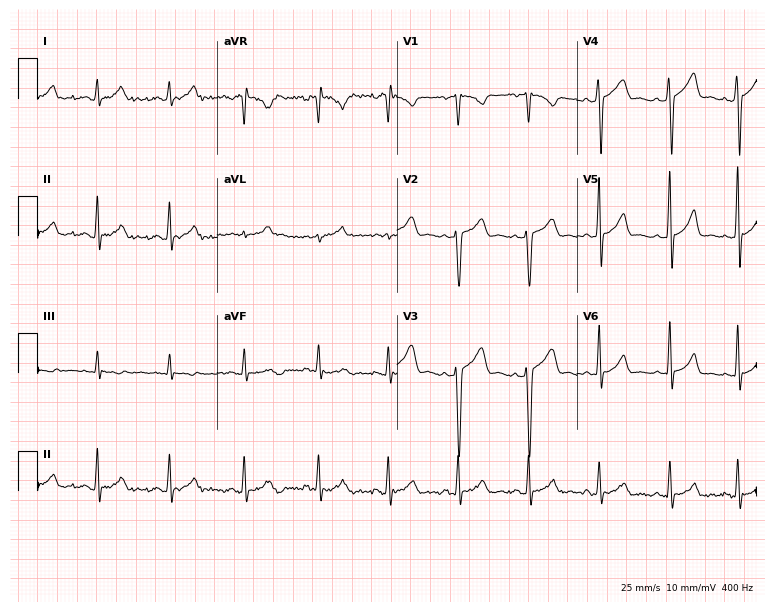
Standard 12-lead ECG recorded from a 21-year-old female (7.3-second recording at 400 Hz). None of these six findings is recorded: first-degree AV block, right bundle branch block (RBBB), left bundle branch block (LBBB), sinus bradycardia, atrial fibrillation (AF), sinus tachycardia. Findings outside these six are not listed.